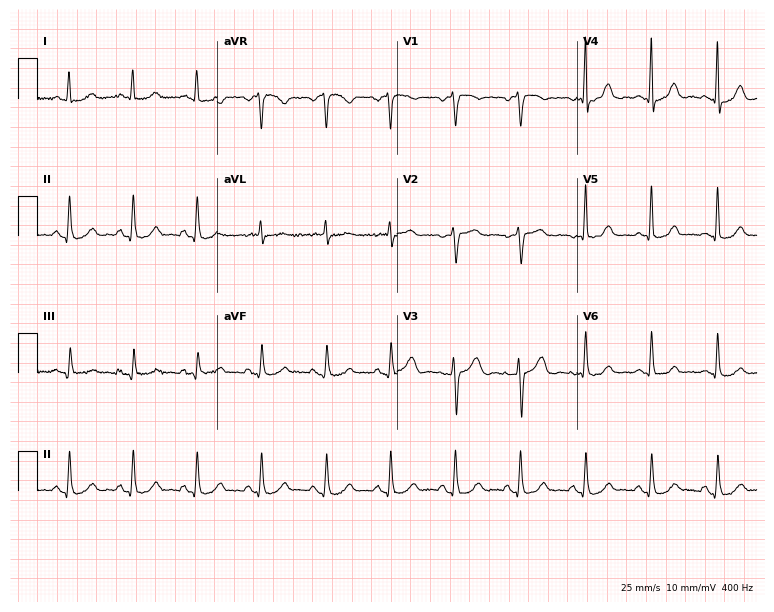
12-lead ECG from a 59-year-old female (7.3-second recording at 400 Hz). No first-degree AV block, right bundle branch block, left bundle branch block, sinus bradycardia, atrial fibrillation or sinus tachycardia recorded for this tracing.